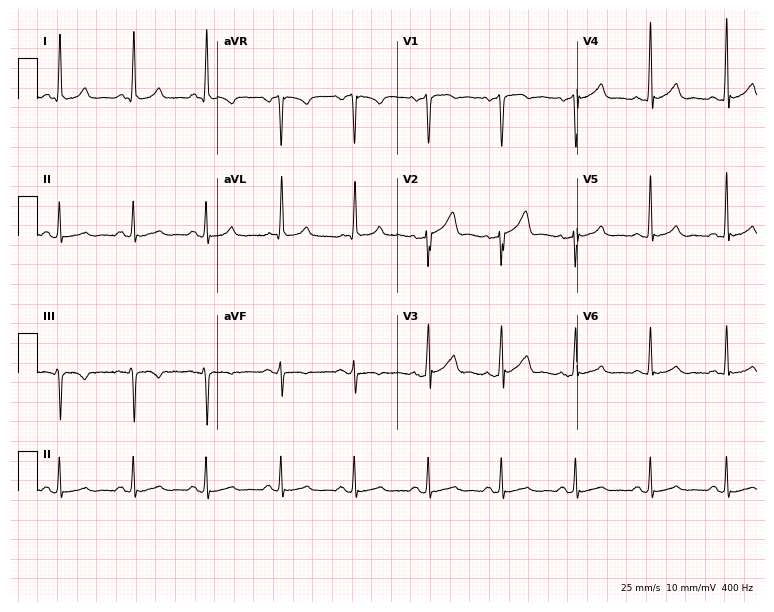
Resting 12-lead electrocardiogram (7.3-second recording at 400 Hz). Patient: a male, 47 years old. Read as a normal ECG.